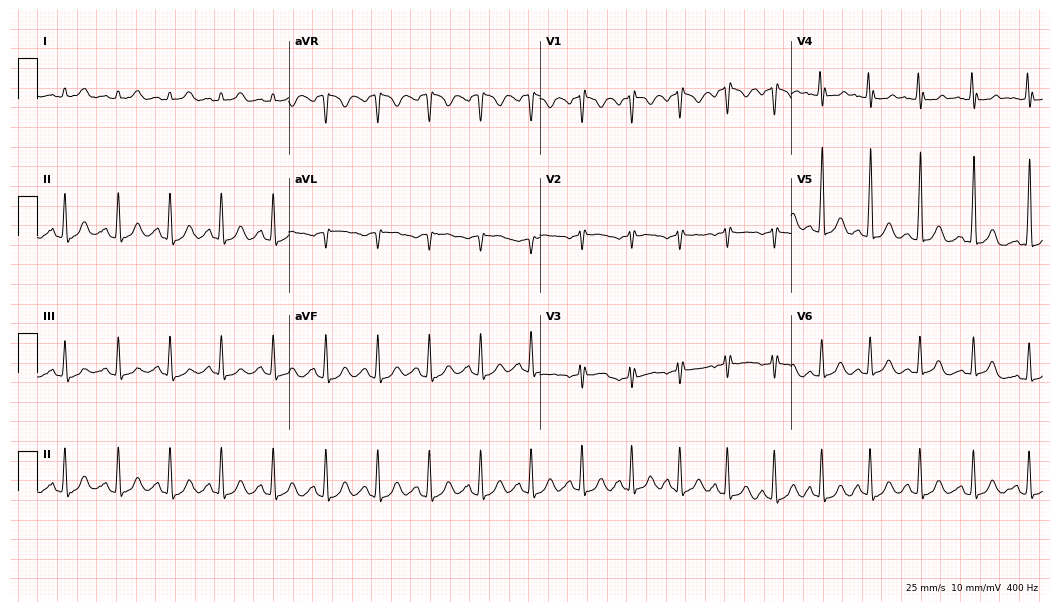
ECG (10.2-second recording at 400 Hz) — a 31-year-old woman. Findings include sinus tachycardia (a sinus rate of 100 beats per minute or more).